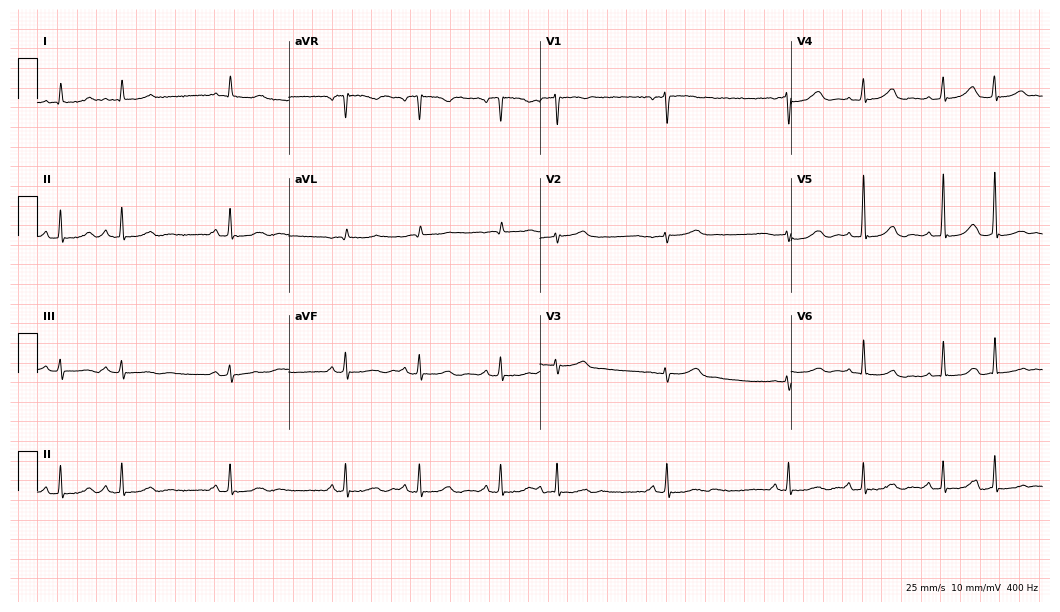
Standard 12-lead ECG recorded from a 66-year-old female patient (10.2-second recording at 400 Hz). None of these six findings is recorded: first-degree AV block, right bundle branch block, left bundle branch block, sinus bradycardia, atrial fibrillation, sinus tachycardia. Other findings, if any, are not listed.